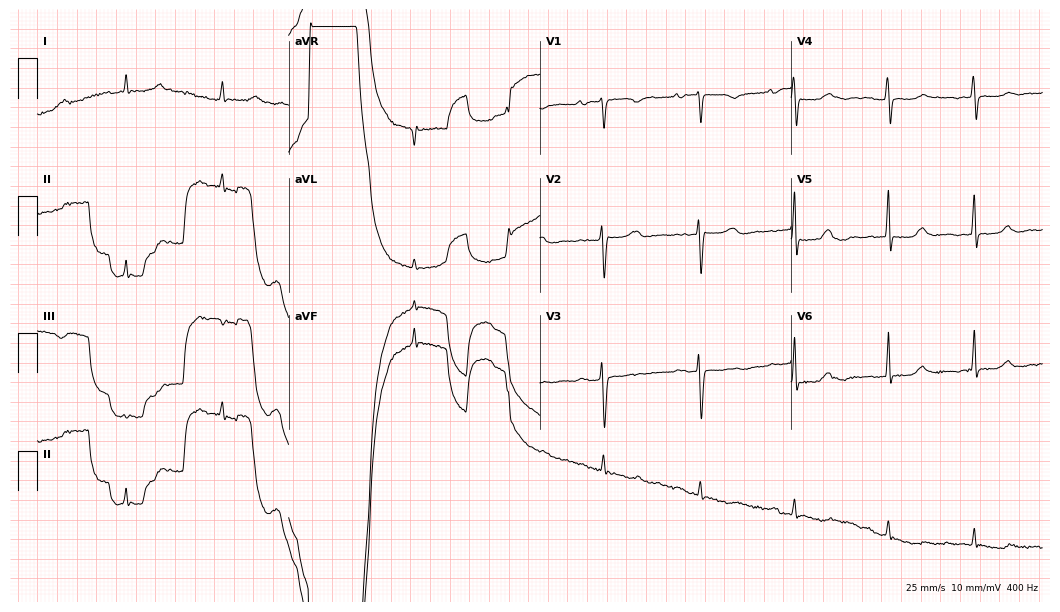
12-lead ECG from a woman, 75 years old (10.2-second recording at 400 Hz). No first-degree AV block, right bundle branch block, left bundle branch block, sinus bradycardia, atrial fibrillation or sinus tachycardia recorded for this tracing.